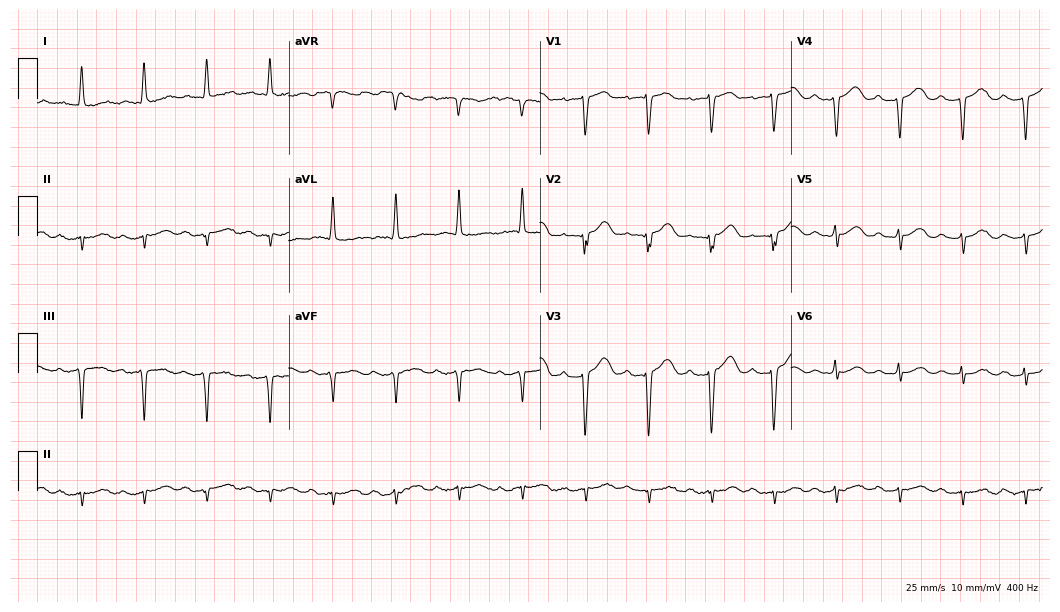
Standard 12-lead ECG recorded from a man, 78 years old (10.2-second recording at 400 Hz). None of these six findings is recorded: first-degree AV block, right bundle branch block, left bundle branch block, sinus bradycardia, atrial fibrillation, sinus tachycardia. Findings outside these six are not listed.